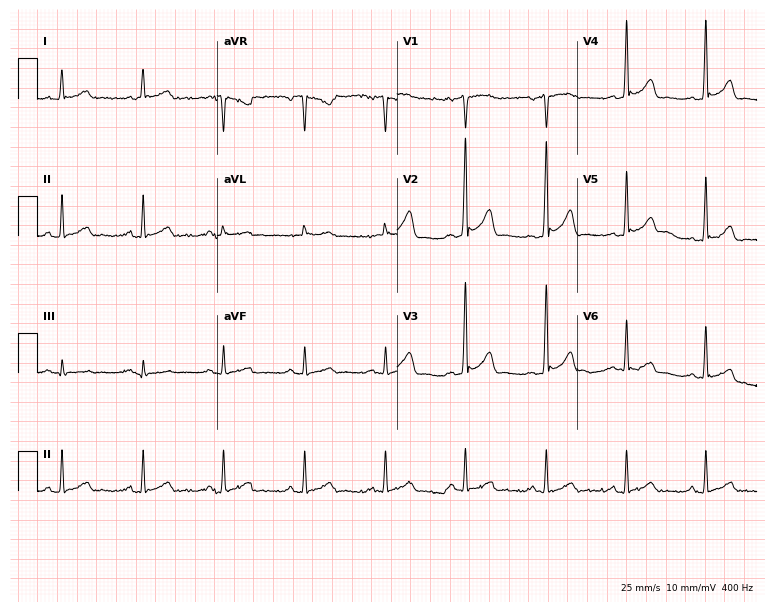
12-lead ECG from a male, 64 years old (7.3-second recording at 400 Hz). Recorded interpretation: within normal limits.